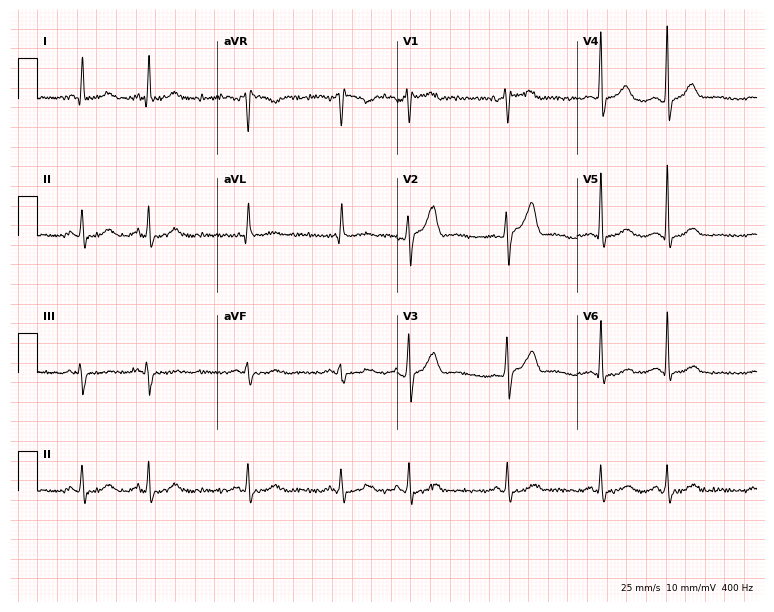
Electrocardiogram, a 58-year-old man. Of the six screened findings (first-degree AV block, right bundle branch block (RBBB), left bundle branch block (LBBB), sinus bradycardia, atrial fibrillation (AF), sinus tachycardia), none is recorded.